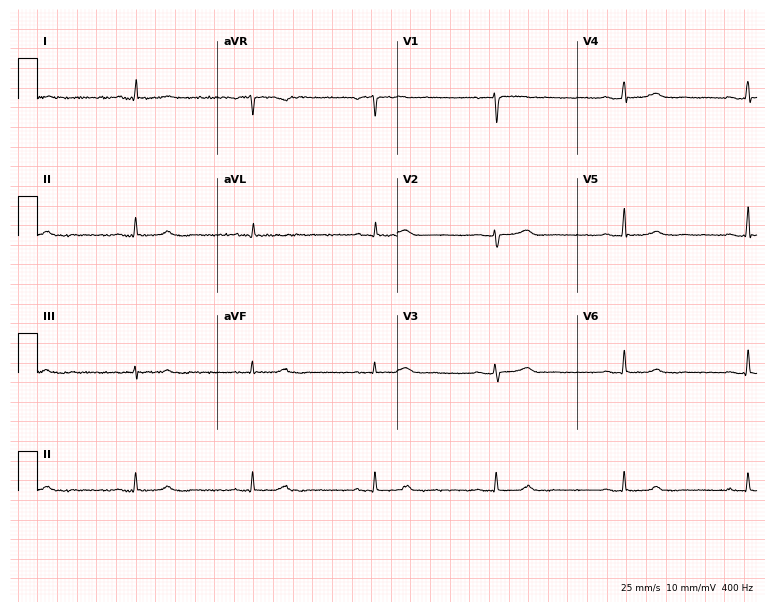
12-lead ECG from a female patient, 52 years old. No first-degree AV block, right bundle branch block, left bundle branch block, sinus bradycardia, atrial fibrillation or sinus tachycardia recorded for this tracing. Only these six findings were labelled.